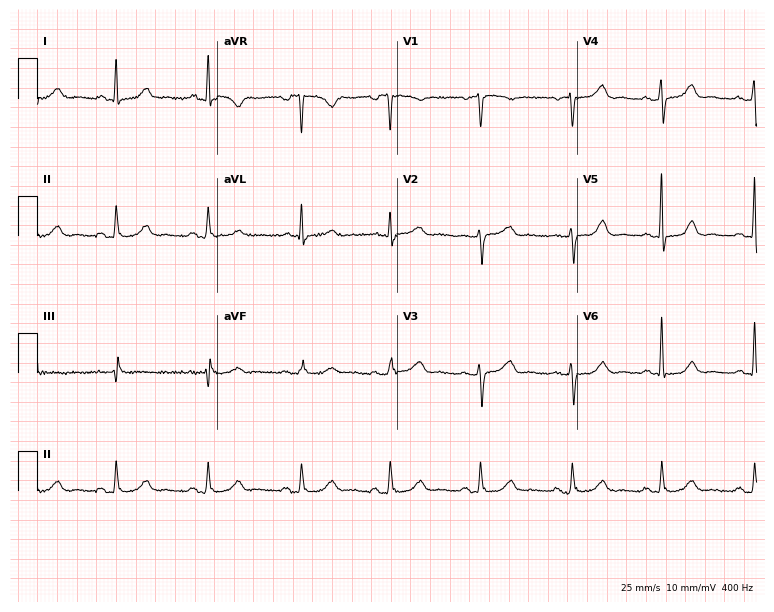
12-lead ECG (7.3-second recording at 400 Hz) from a female patient, 41 years old. Screened for six findings — first-degree AV block, right bundle branch block (RBBB), left bundle branch block (LBBB), sinus bradycardia, atrial fibrillation (AF), sinus tachycardia — none is recorded.